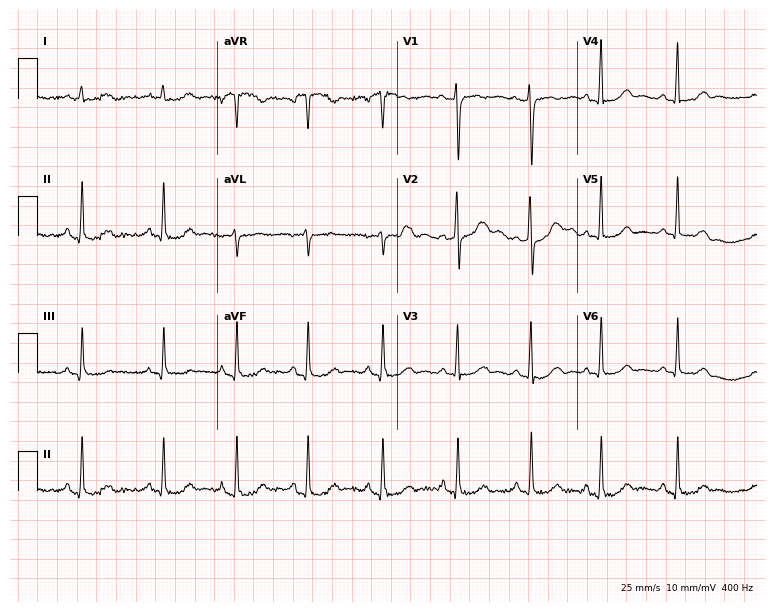
12-lead ECG from a female, 65 years old. Recorded interpretation: within normal limits.